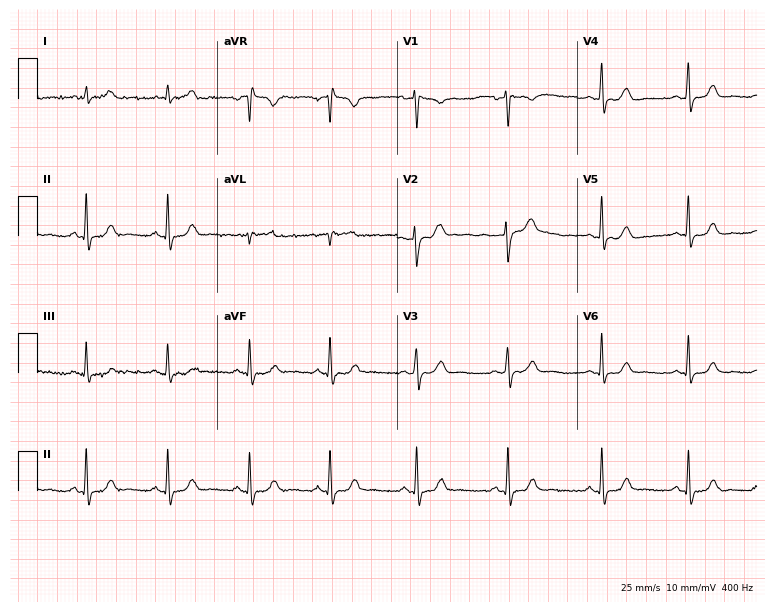
Electrocardiogram (7.3-second recording at 400 Hz), a 35-year-old female. Of the six screened findings (first-degree AV block, right bundle branch block, left bundle branch block, sinus bradycardia, atrial fibrillation, sinus tachycardia), none is recorded.